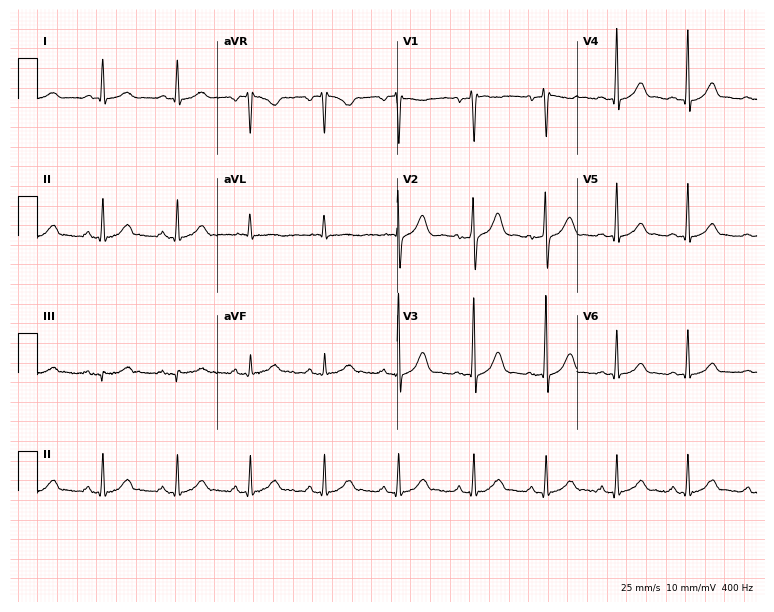
12-lead ECG from a male, 35 years old. Labelled as a normal ECG.